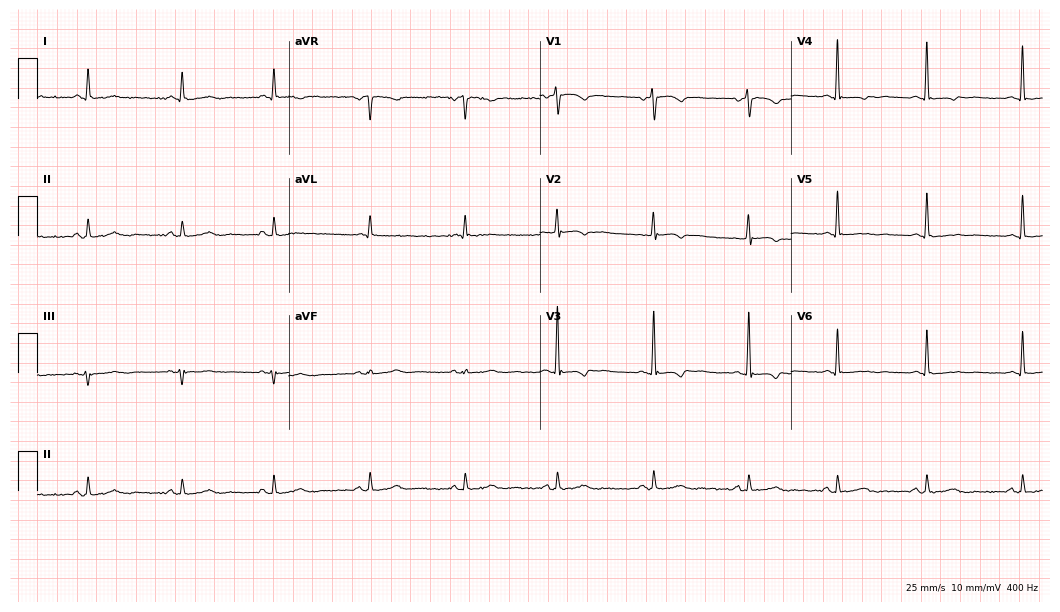
12-lead ECG from a female, 51 years old (10.2-second recording at 400 Hz). Recorded interpretation: within normal limits.